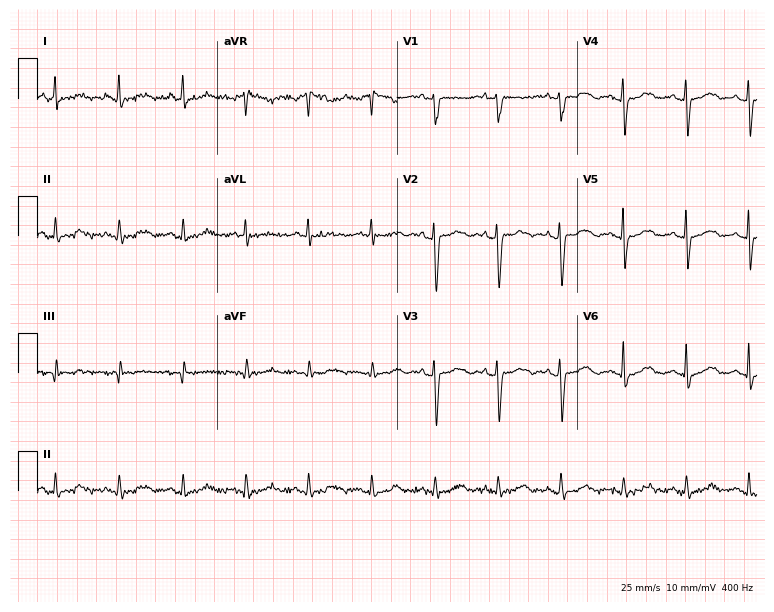
ECG (7.3-second recording at 400 Hz) — a female, 63 years old. Screened for six findings — first-degree AV block, right bundle branch block, left bundle branch block, sinus bradycardia, atrial fibrillation, sinus tachycardia — none is recorded. Only these six findings were labelled.